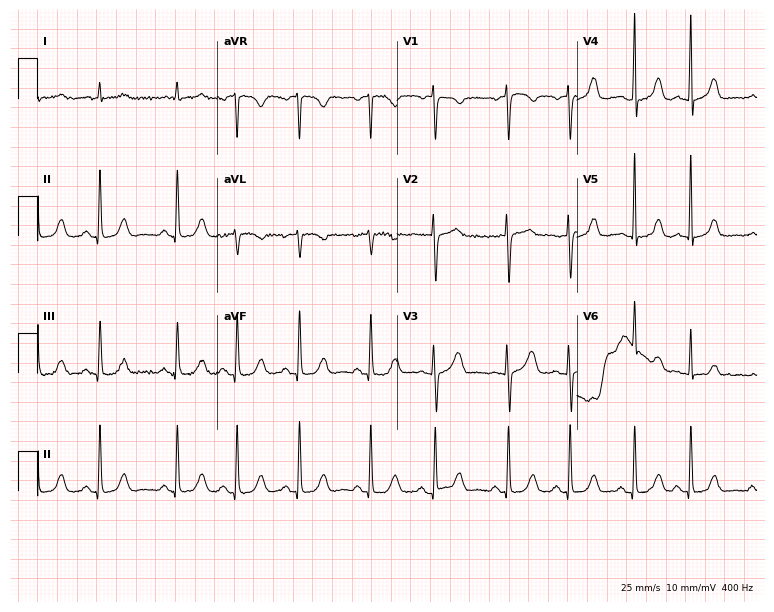
12-lead ECG from a woman, 77 years old. Labelled as a normal ECG.